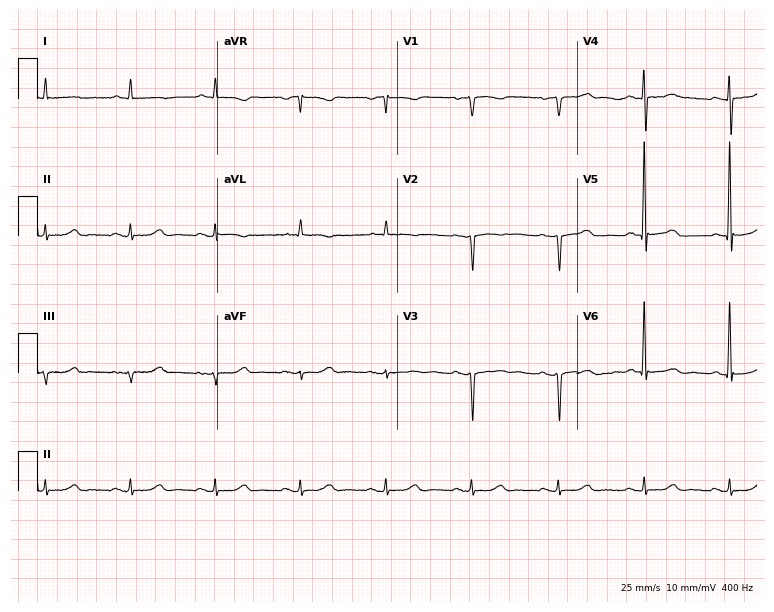
Standard 12-lead ECG recorded from an 81-year-old woman. None of these six findings is recorded: first-degree AV block, right bundle branch block (RBBB), left bundle branch block (LBBB), sinus bradycardia, atrial fibrillation (AF), sinus tachycardia. Other findings, if any, are not listed.